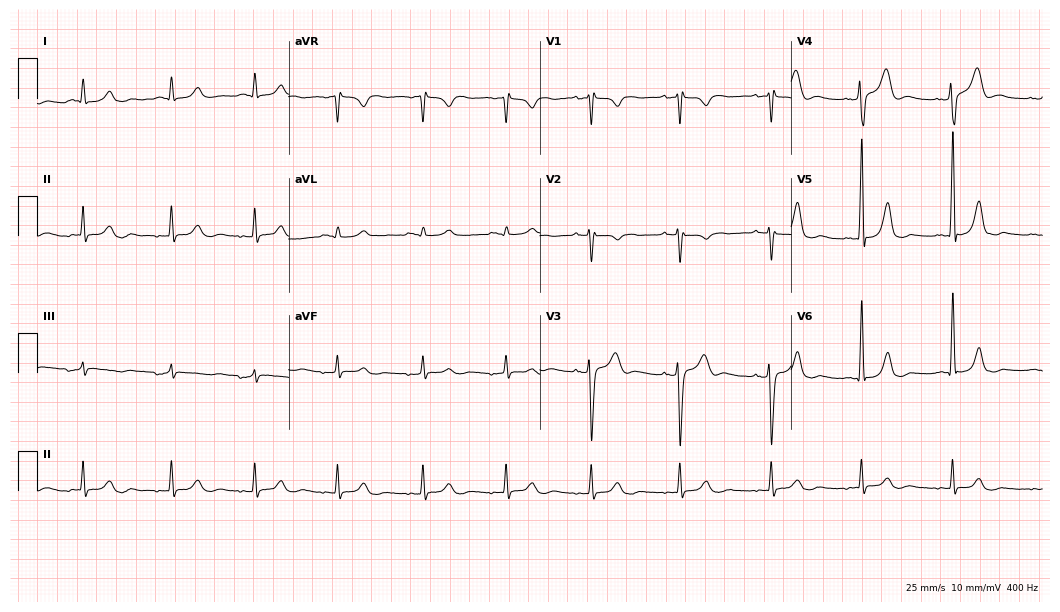
12-lead ECG from a 35-year-old man. Recorded interpretation: within normal limits.